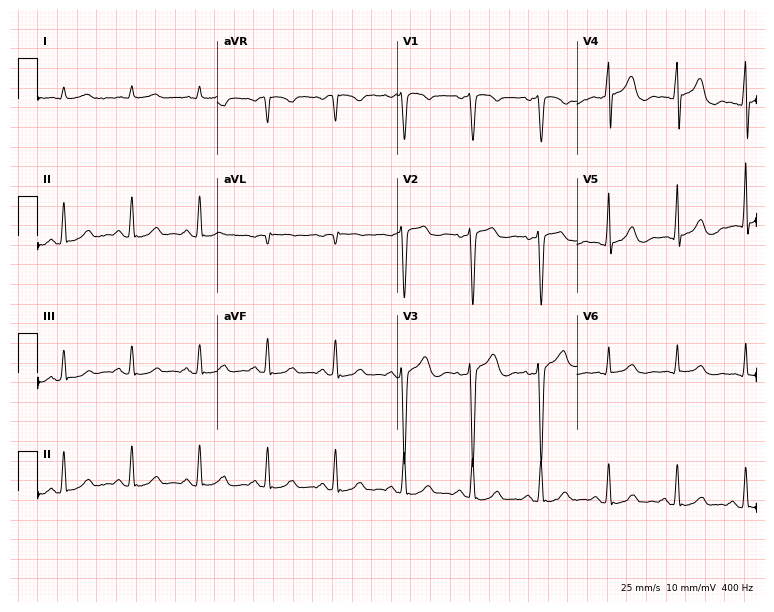
12-lead ECG from a male, 70 years old (7.3-second recording at 400 Hz). No first-degree AV block, right bundle branch block, left bundle branch block, sinus bradycardia, atrial fibrillation or sinus tachycardia recorded for this tracing. Other findings, if any, are not listed.